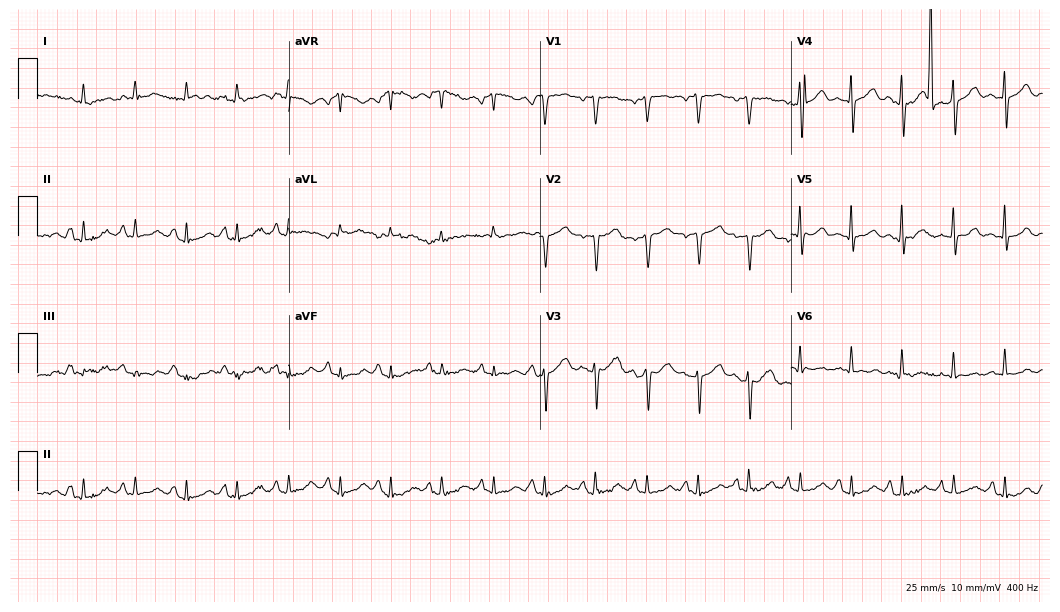
12-lead ECG from a 60-year-old man (10.2-second recording at 400 Hz). Shows sinus tachycardia (a sinus rate of 100 beats per minute or more).